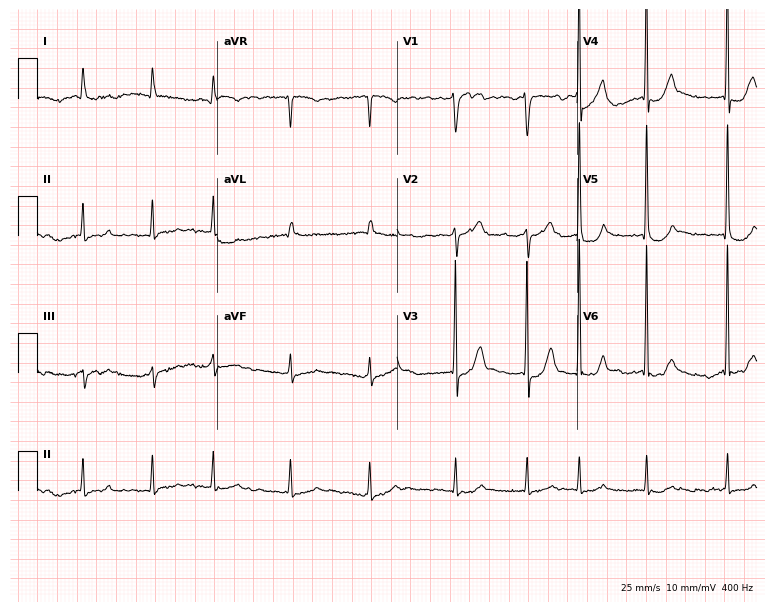
Electrocardiogram (7.3-second recording at 400 Hz), a woman, 76 years old. Interpretation includes atrial fibrillation.